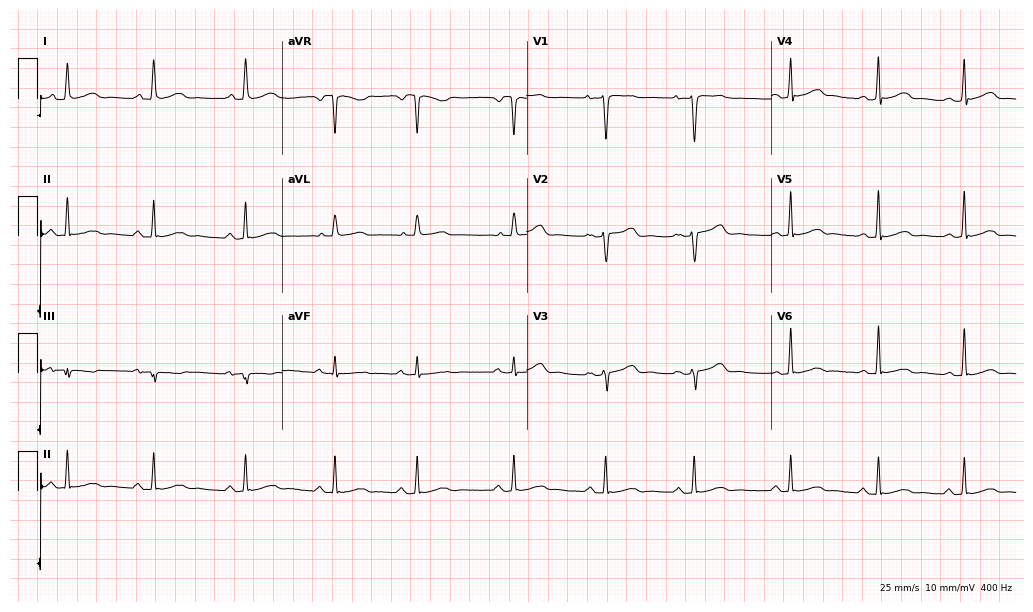
ECG — a 42-year-old female. Labelled as a normal ECG.